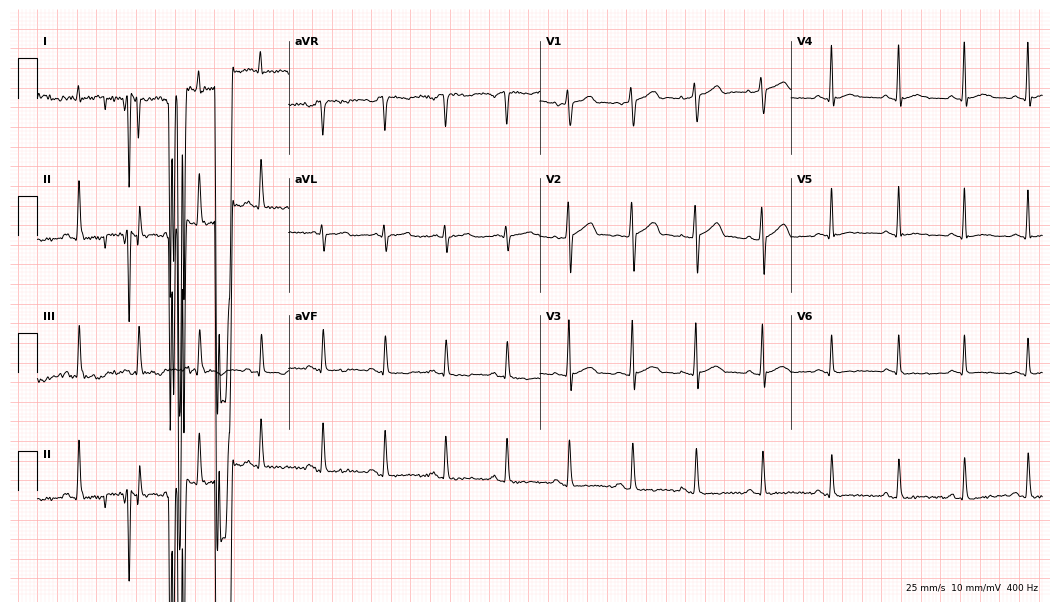
Resting 12-lead electrocardiogram (10.2-second recording at 400 Hz). Patient: a male, 21 years old. None of these six findings is recorded: first-degree AV block, right bundle branch block (RBBB), left bundle branch block (LBBB), sinus bradycardia, atrial fibrillation (AF), sinus tachycardia.